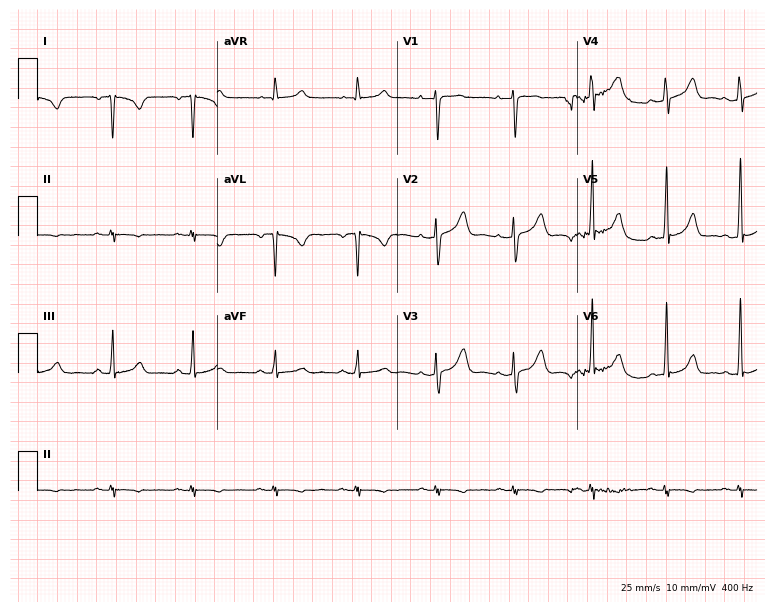
12-lead ECG from a 38-year-old woman. Screened for six findings — first-degree AV block, right bundle branch block (RBBB), left bundle branch block (LBBB), sinus bradycardia, atrial fibrillation (AF), sinus tachycardia — none is recorded. Only these six findings were labelled.